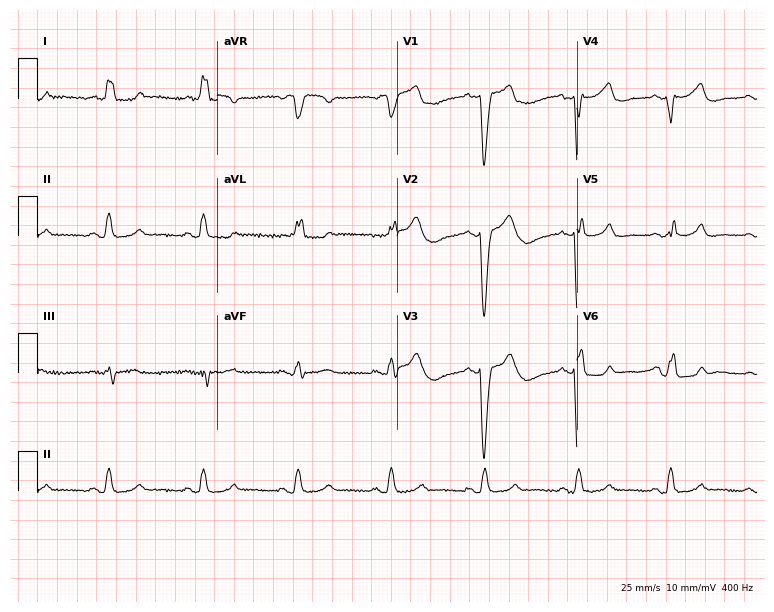
12-lead ECG from a female, 77 years old. Shows left bundle branch block.